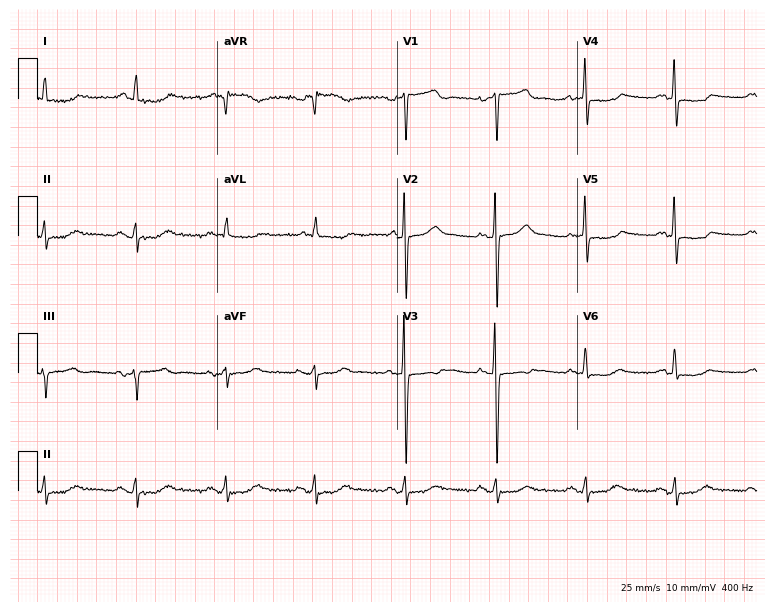
Electrocardiogram, a woman, 62 years old. Of the six screened findings (first-degree AV block, right bundle branch block, left bundle branch block, sinus bradycardia, atrial fibrillation, sinus tachycardia), none is recorded.